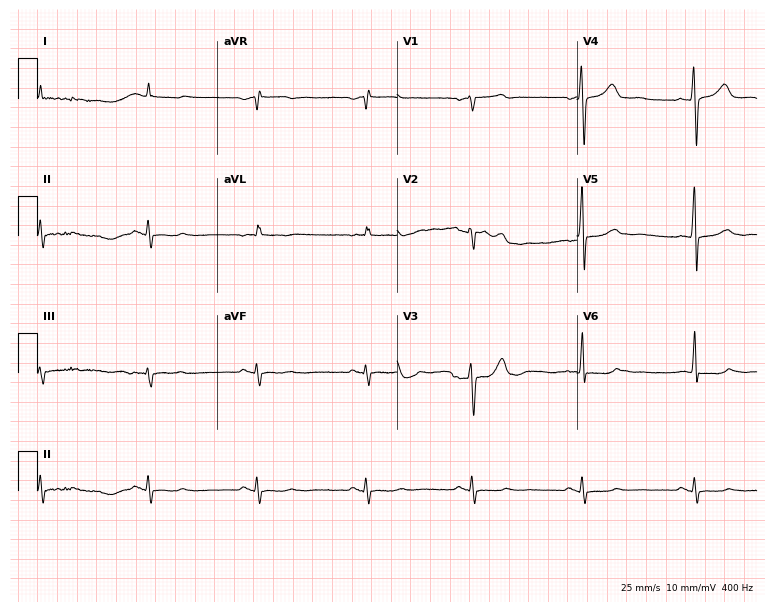
Electrocardiogram (7.3-second recording at 400 Hz), a man, 75 years old. Of the six screened findings (first-degree AV block, right bundle branch block (RBBB), left bundle branch block (LBBB), sinus bradycardia, atrial fibrillation (AF), sinus tachycardia), none is recorded.